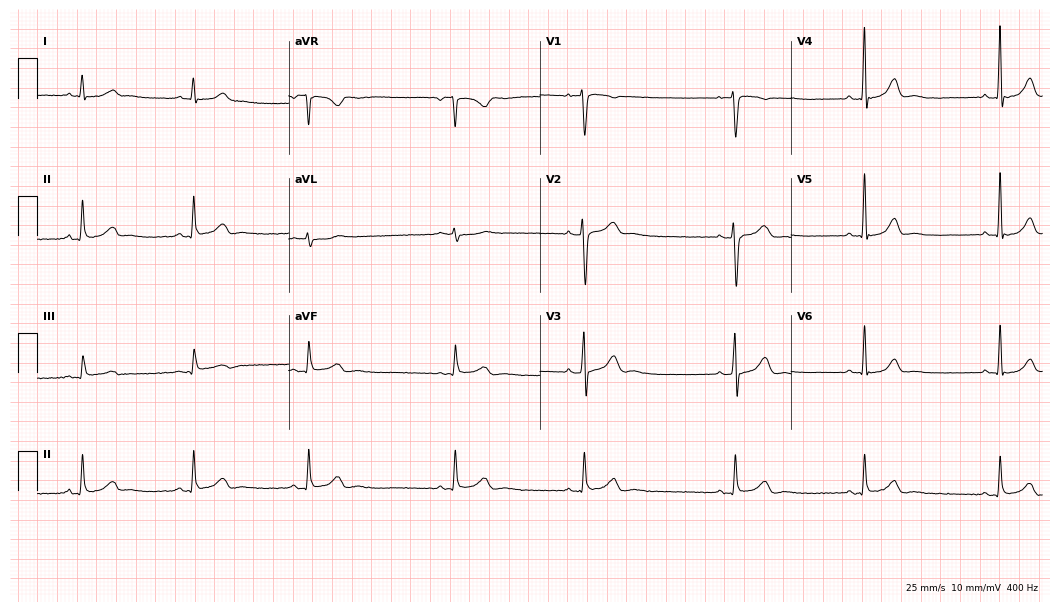
Electrocardiogram, a 48-year-old male. Overall reading on record: normal ECG.